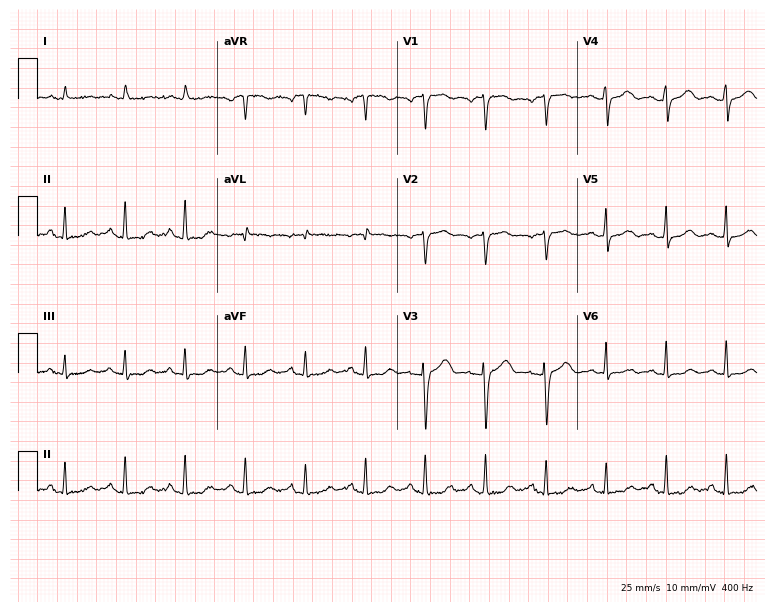
12-lead ECG from a woman, 62 years old. Recorded interpretation: within normal limits.